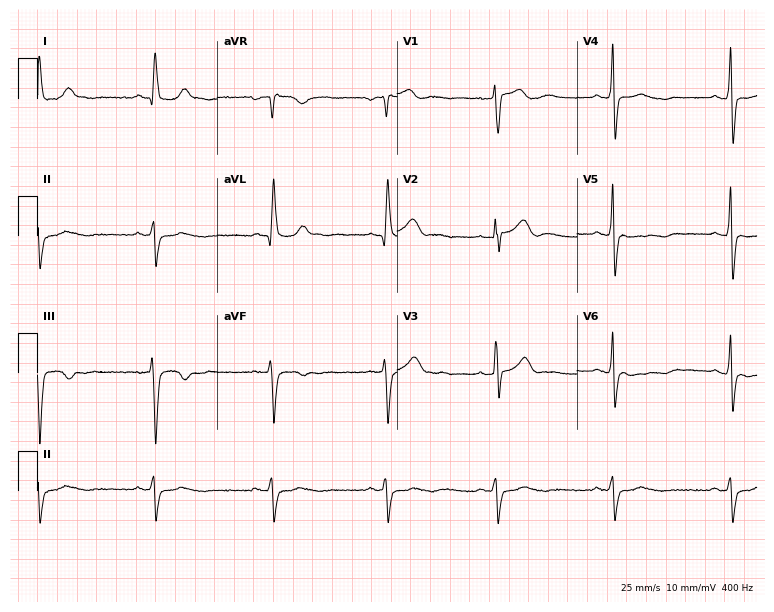
12-lead ECG from a male, 66 years old. No first-degree AV block, right bundle branch block, left bundle branch block, sinus bradycardia, atrial fibrillation or sinus tachycardia recorded for this tracing. Findings outside these six are not listed.